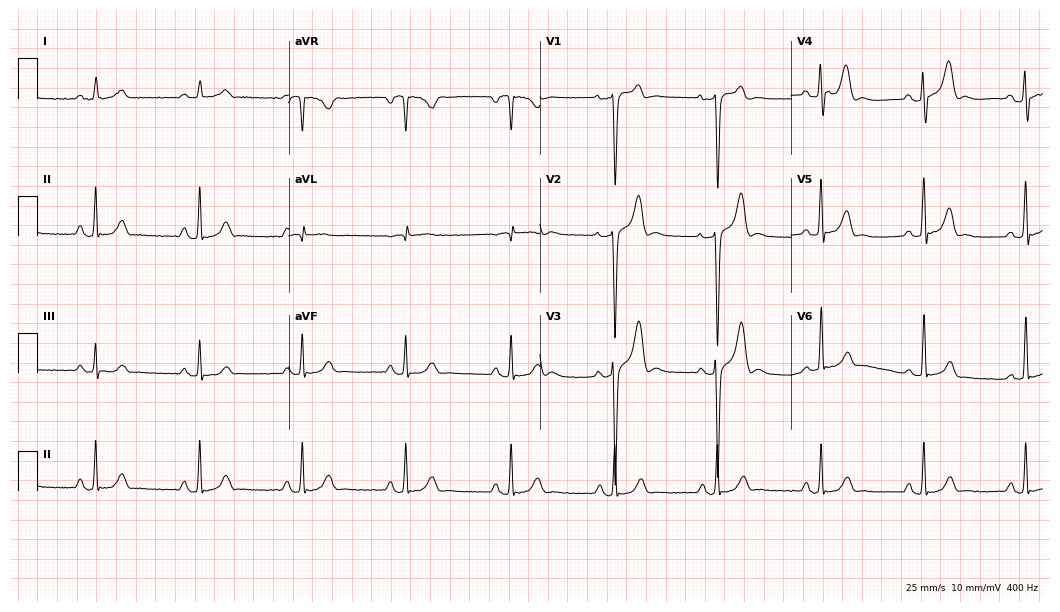
Electrocardiogram (10.2-second recording at 400 Hz), a 21-year-old male. Overall reading on record: normal ECG.